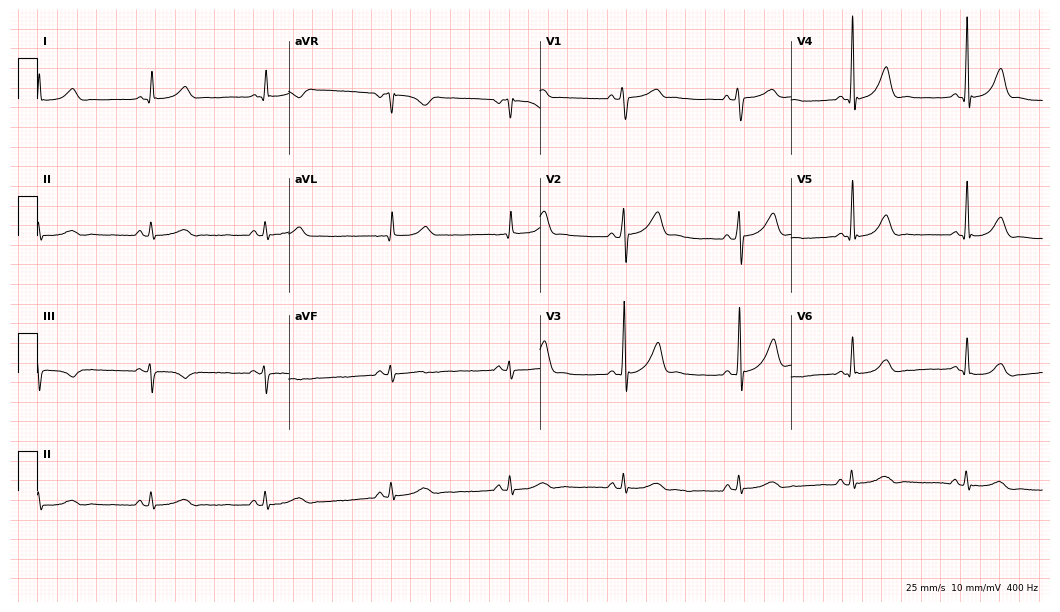
Standard 12-lead ECG recorded from a man, 59 years old. Read as a normal ECG.